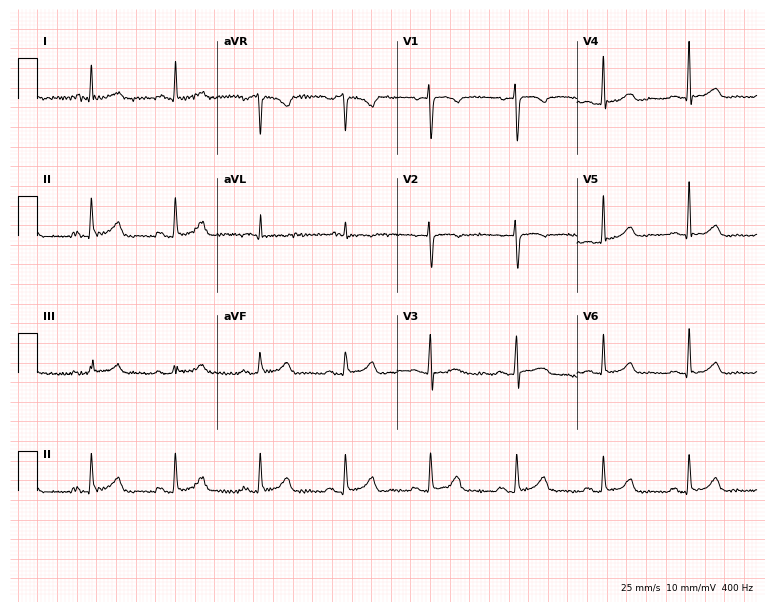
ECG — a 65-year-old woman. Labelled as a normal ECG.